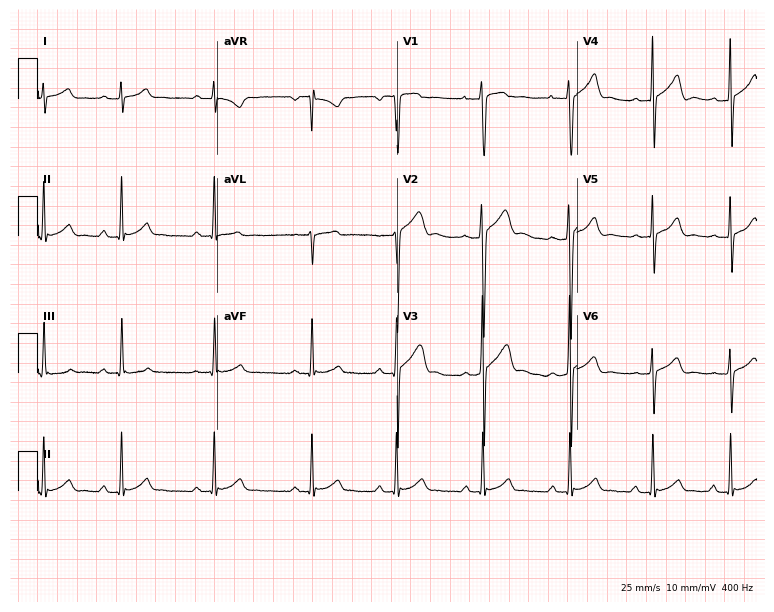
12-lead ECG from a man, 18 years old (7.3-second recording at 400 Hz). No first-degree AV block, right bundle branch block, left bundle branch block, sinus bradycardia, atrial fibrillation or sinus tachycardia recorded for this tracing. Findings outside these six are not listed.